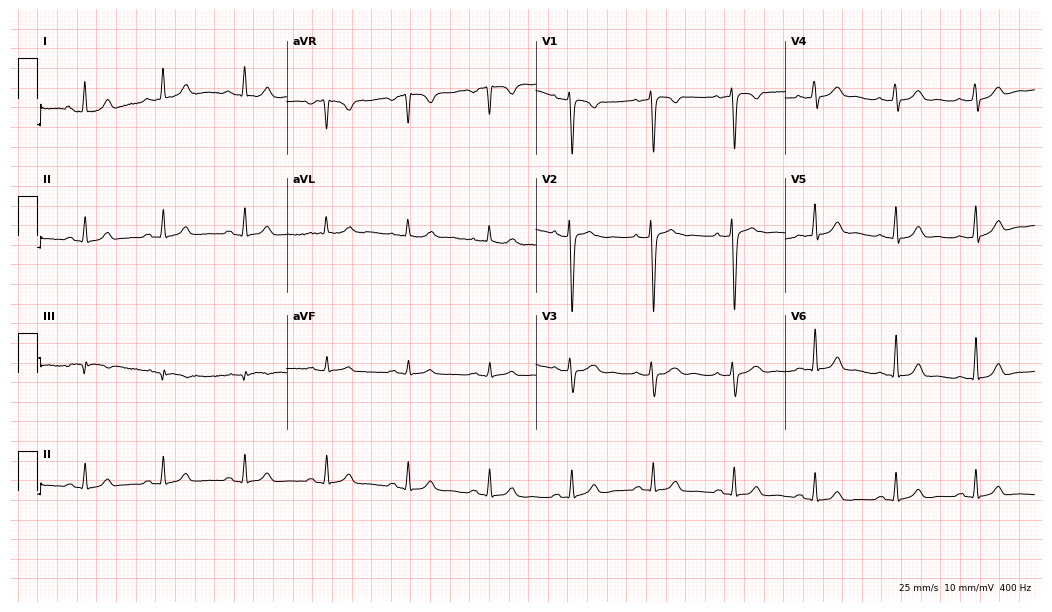
12-lead ECG from a woman, 31 years old (10.2-second recording at 400 Hz). Recorded interpretation: within normal limits.